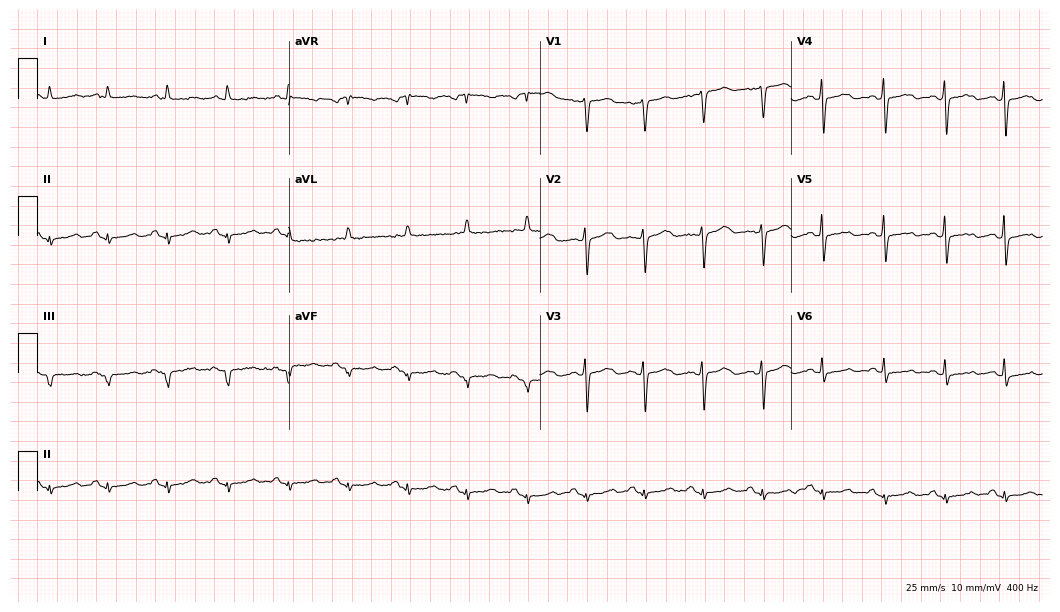
Standard 12-lead ECG recorded from a female, 72 years old. None of these six findings is recorded: first-degree AV block, right bundle branch block, left bundle branch block, sinus bradycardia, atrial fibrillation, sinus tachycardia.